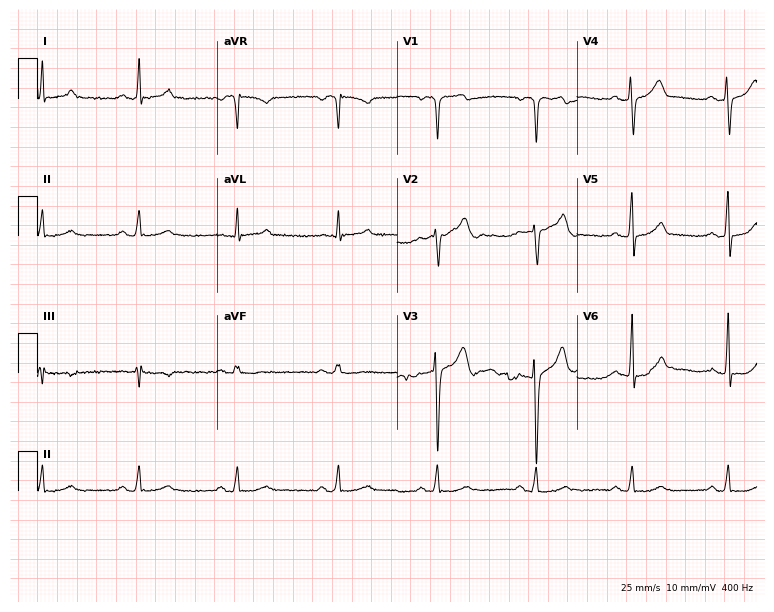
Resting 12-lead electrocardiogram. Patient: a man, 53 years old. None of these six findings is recorded: first-degree AV block, right bundle branch block, left bundle branch block, sinus bradycardia, atrial fibrillation, sinus tachycardia. Only these six findings were labelled.